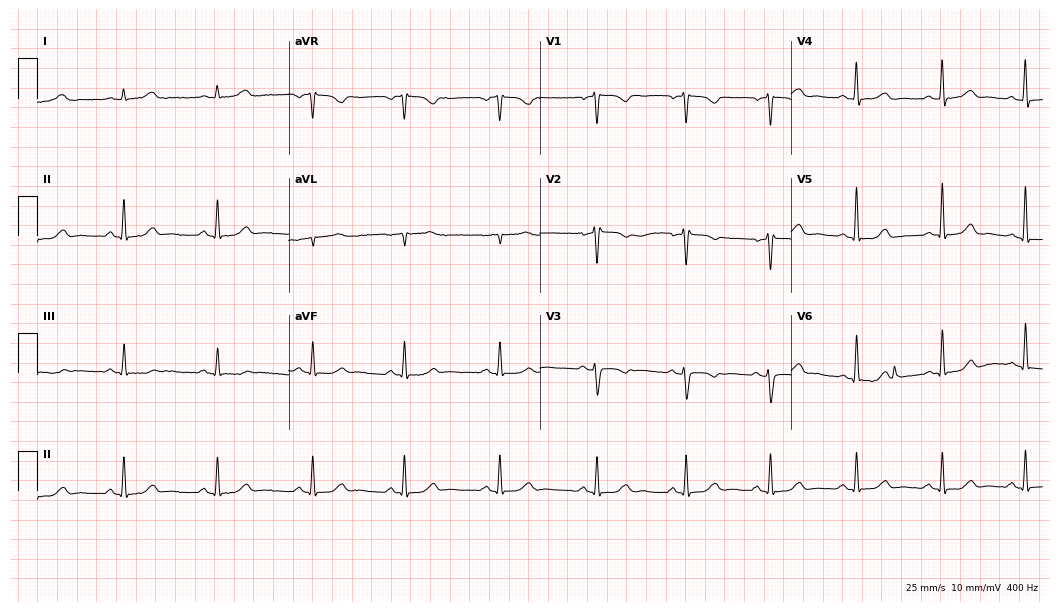
12-lead ECG from a 43-year-old female patient. Labelled as a normal ECG.